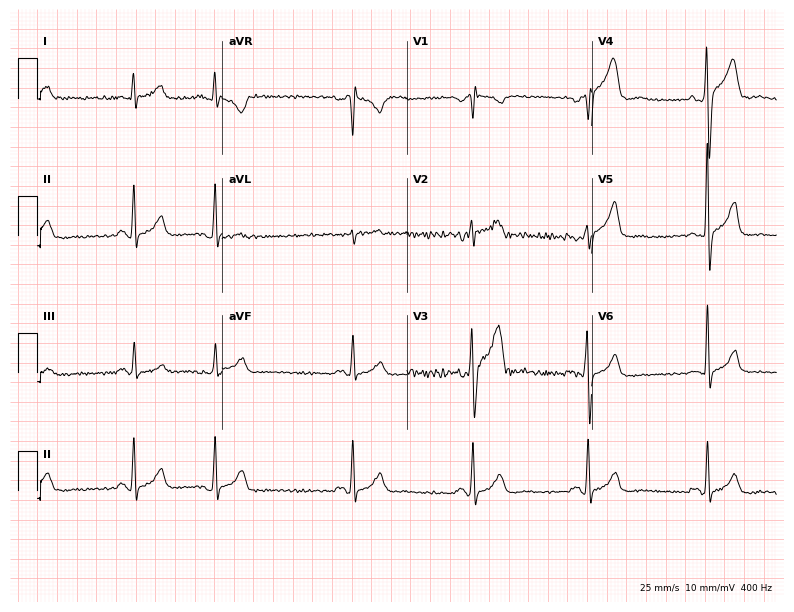
Resting 12-lead electrocardiogram (7.5-second recording at 400 Hz). Patient: a male, 59 years old. None of these six findings is recorded: first-degree AV block, right bundle branch block, left bundle branch block, sinus bradycardia, atrial fibrillation, sinus tachycardia.